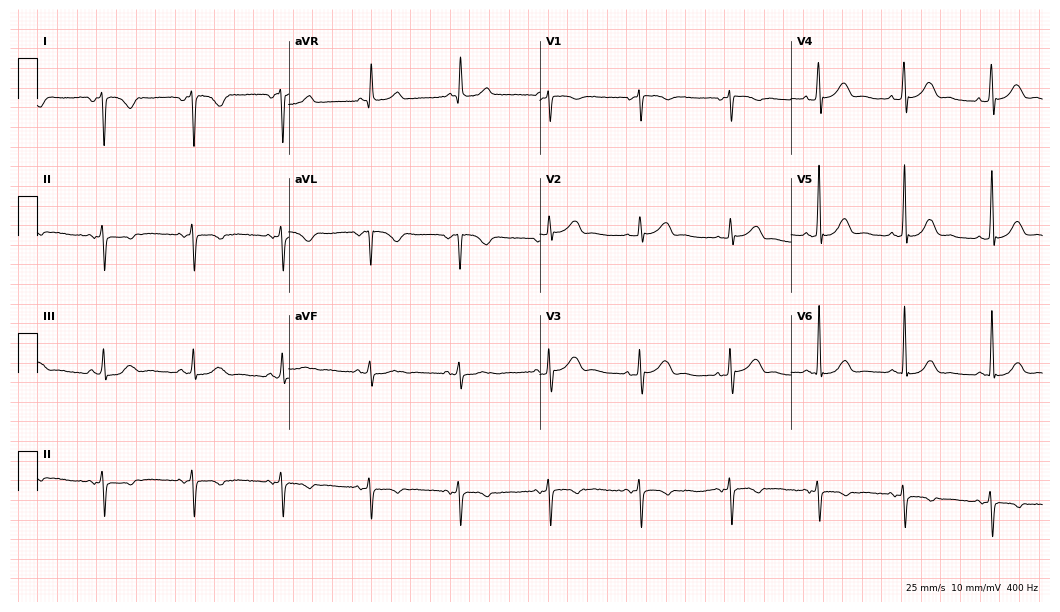
Electrocardiogram, a female patient, 55 years old. Of the six screened findings (first-degree AV block, right bundle branch block, left bundle branch block, sinus bradycardia, atrial fibrillation, sinus tachycardia), none is recorded.